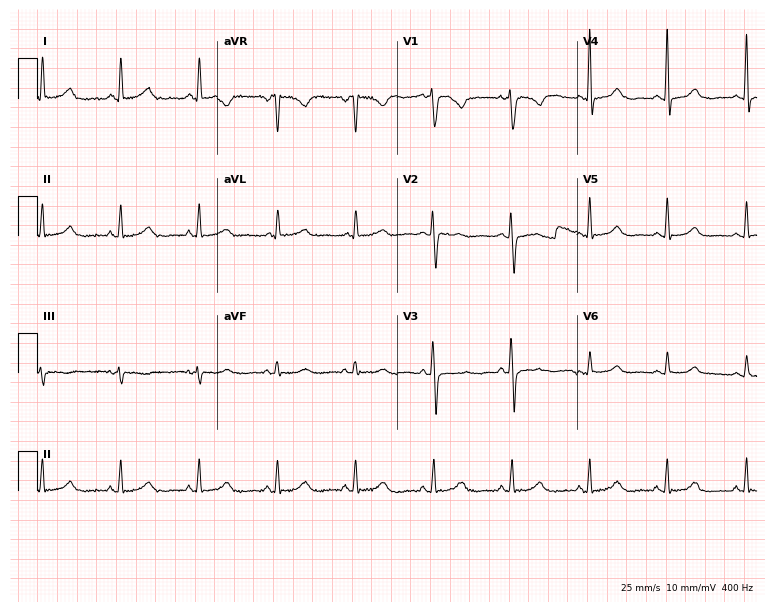
Standard 12-lead ECG recorded from a woman, 62 years old (7.3-second recording at 400 Hz). None of these six findings is recorded: first-degree AV block, right bundle branch block (RBBB), left bundle branch block (LBBB), sinus bradycardia, atrial fibrillation (AF), sinus tachycardia. Other findings, if any, are not listed.